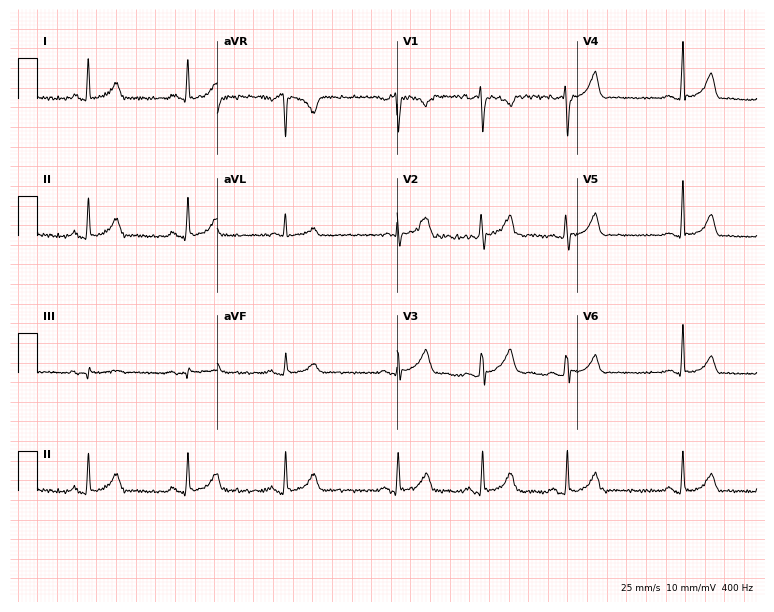
Electrocardiogram, a 29-year-old woman. Overall reading on record: normal ECG.